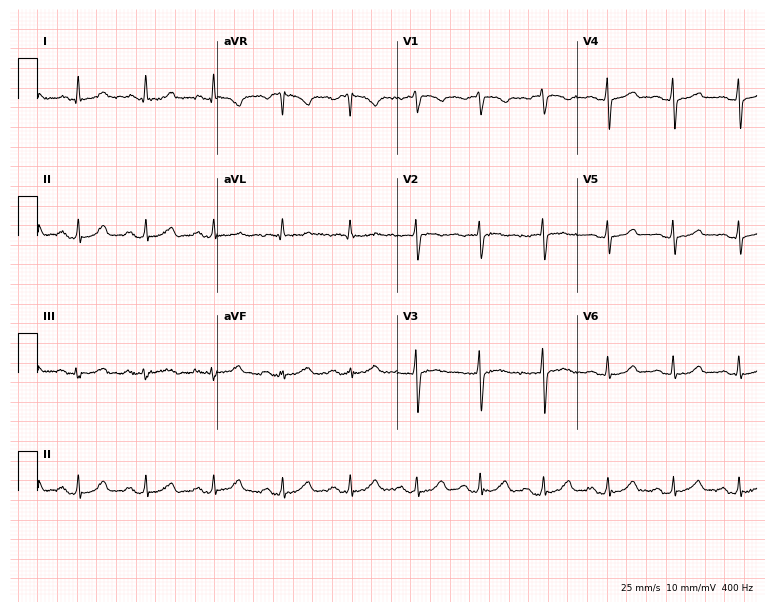
12-lead ECG (7.3-second recording at 400 Hz) from a 49-year-old female patient. Labelled as a normal ECG.